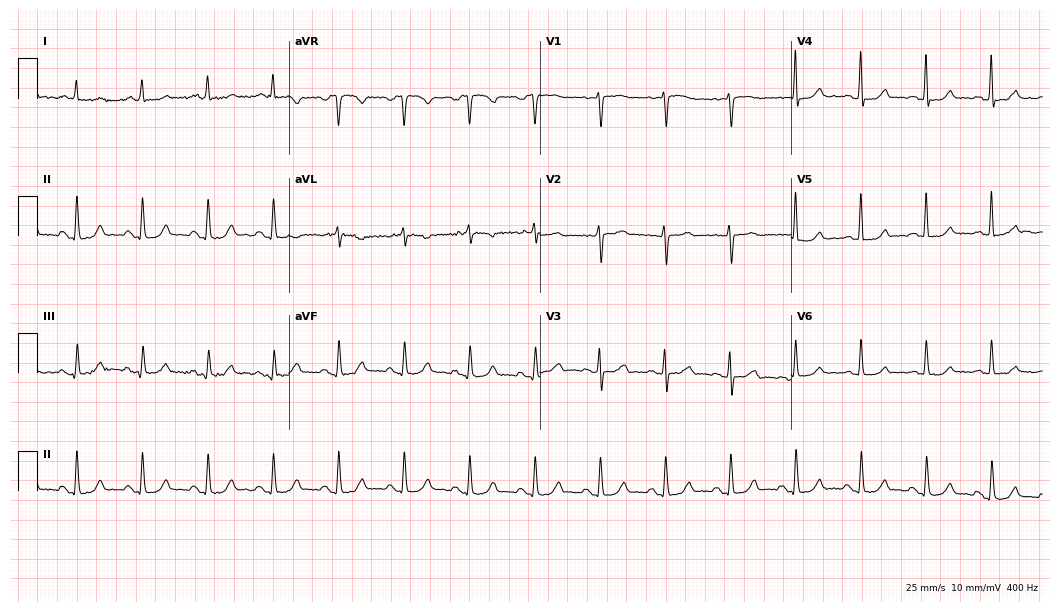
12-lead ECG from a female patient, 61 years old. No first-degree AV block, right bundle branch block (RBBB), left bundle branch block (LBBB), sinus bradycardia, atrial fibrillation (AF) or sinus tachycardia recorded for this tracing. Other findings, if any, are not listed.